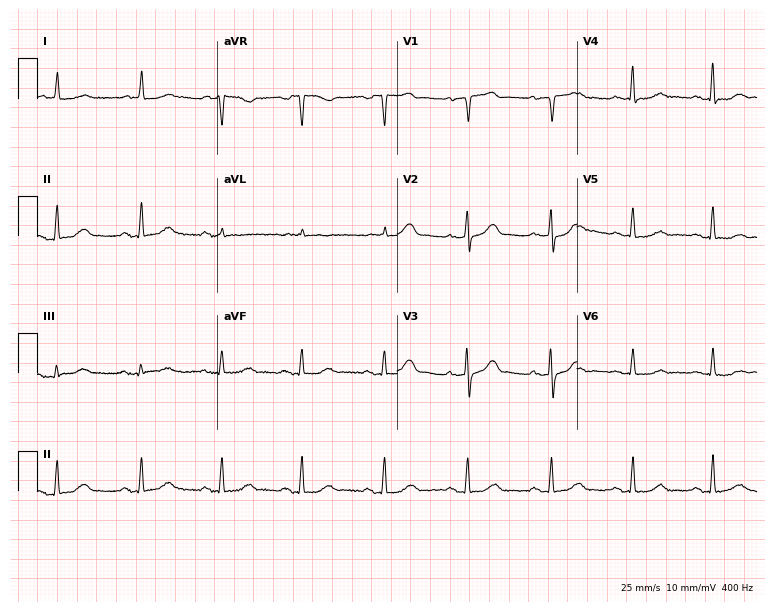
Standard 12-lead ECG recorded from a 62-year-old female (7.3-second recording at 400 Hz). Read as a normal ECG.